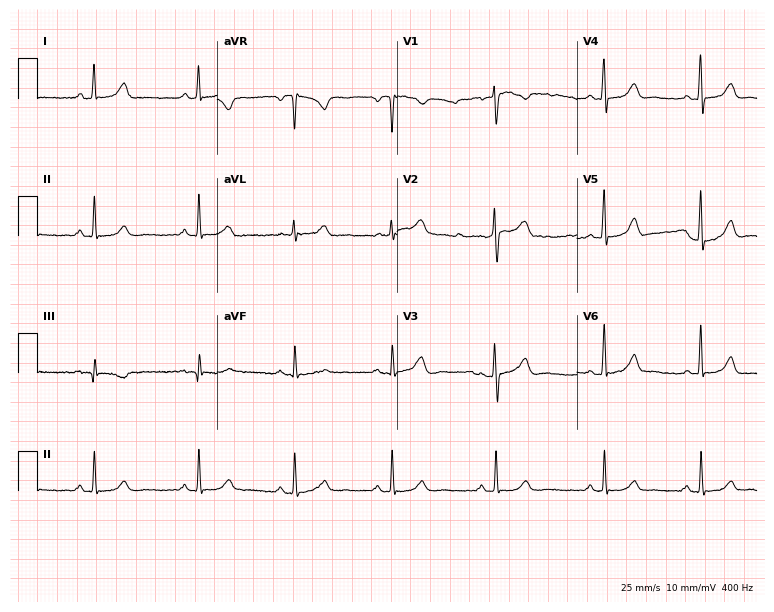
Standard 12-lead ECG recorded from a woman, 44 years old. Read as a normal ECG.